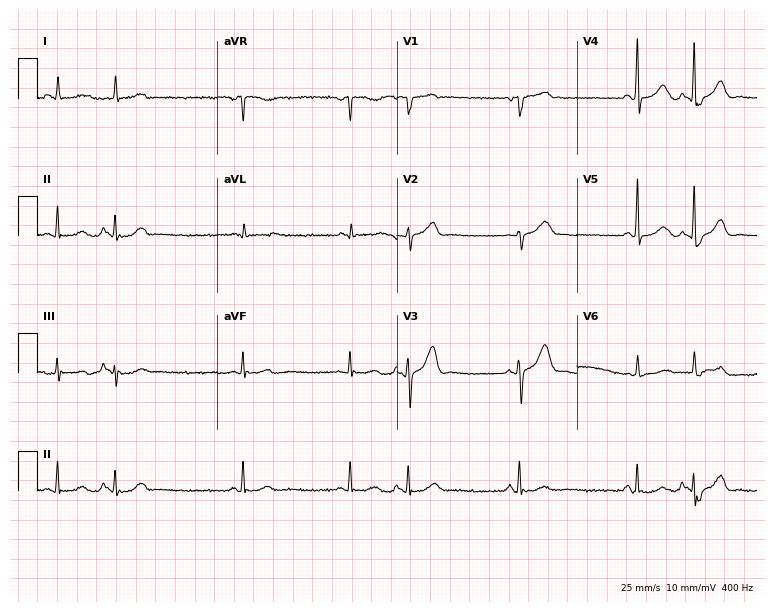
Electrocardiogram, a 70-year-old female patient. Of the six screened findings (first-degree AV block, right bundle branch block (RBBB), left bundle branch block (LBBB), sinus bradycardia, atrial fibrillation (AF), sinus tachycardia), none is recorded. Other findings, if any, are not listed.